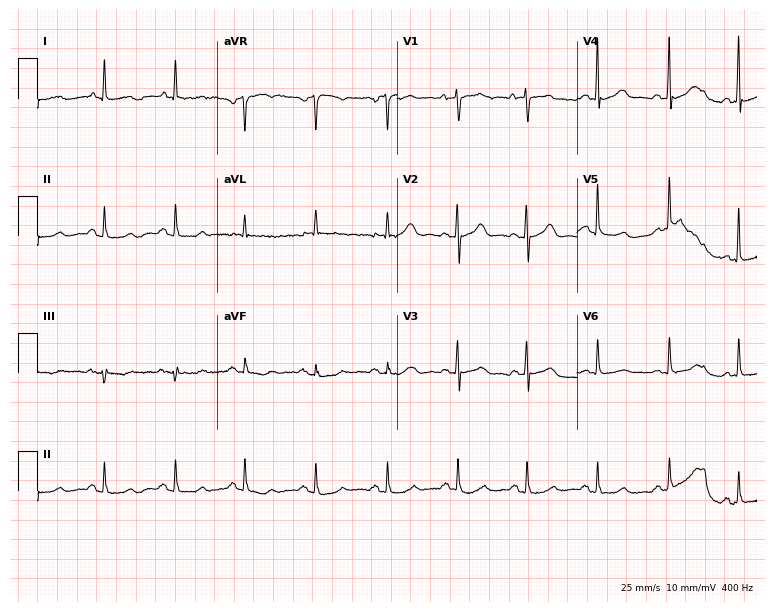
Standard 12-lead ECG recorded from a woman, 62 years old (7.3-second recording at 400 Hz). Read as a normal ECG.